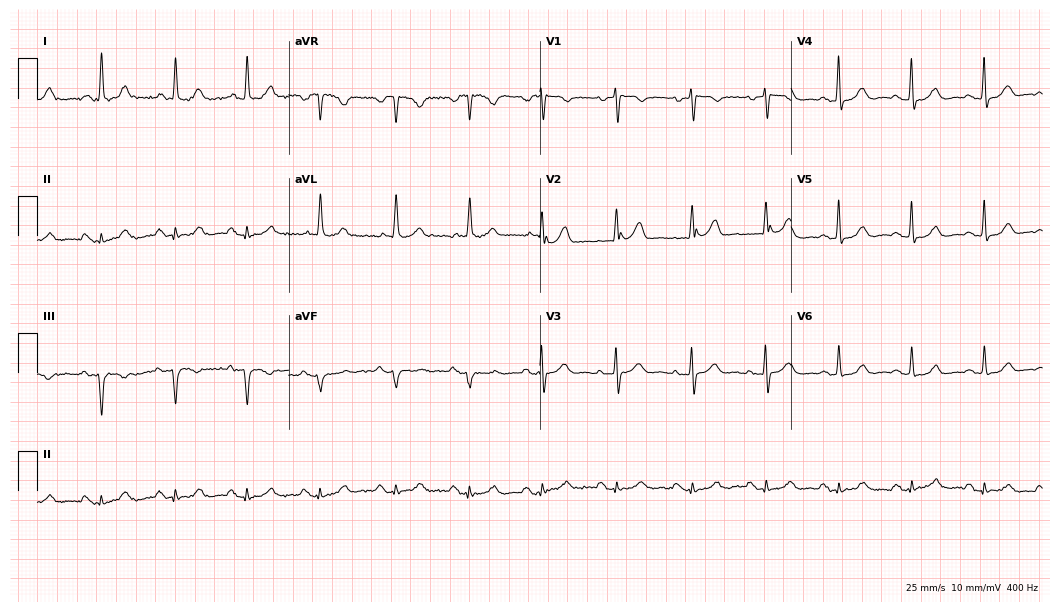
12-lead ECG from a 76-year-old female patient (10.2-second recording at 400 Hz). Recorded interpretation: within normal limits.